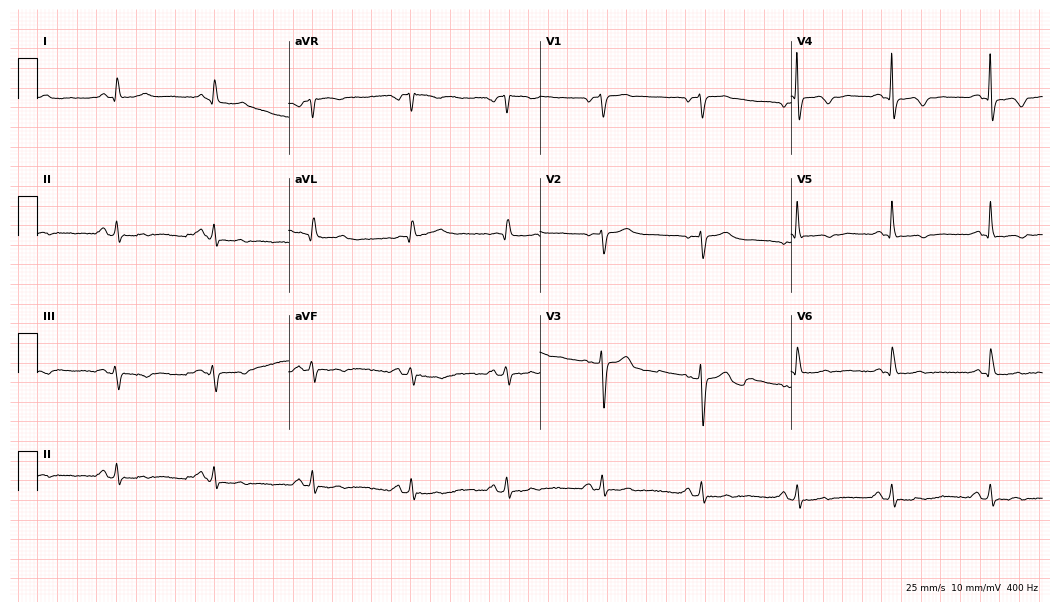
Standard 12-lead ECG recorded from a 55-year-old male (10.2-second recording at 400 Hz). Read as a normal ECG.